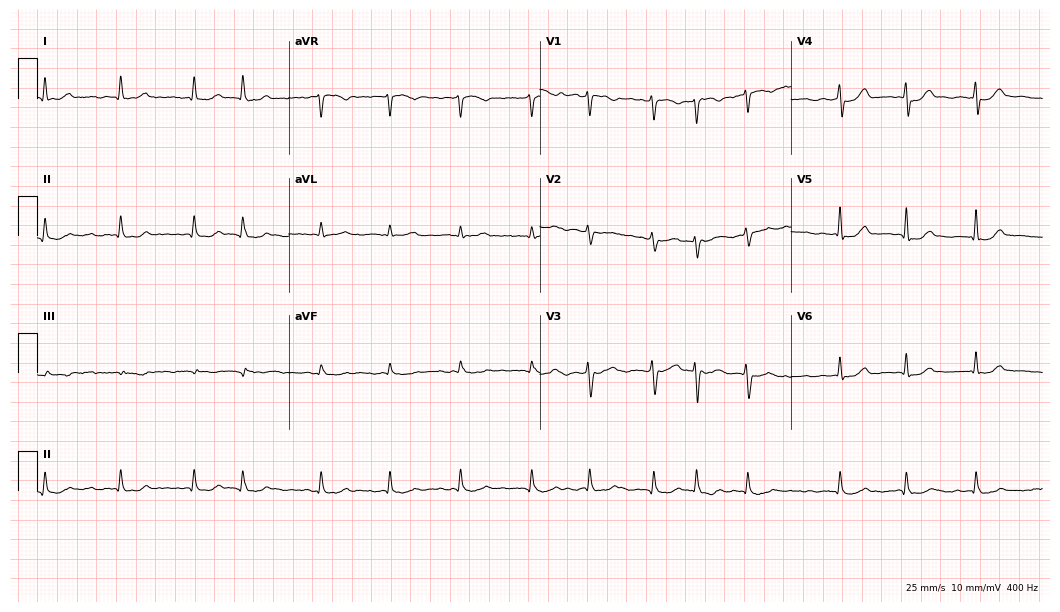
Electrocardiogram (10.2-second recording at 400 Hz), a 73-year-old woman. Interpretation includes atrial fibrillation.